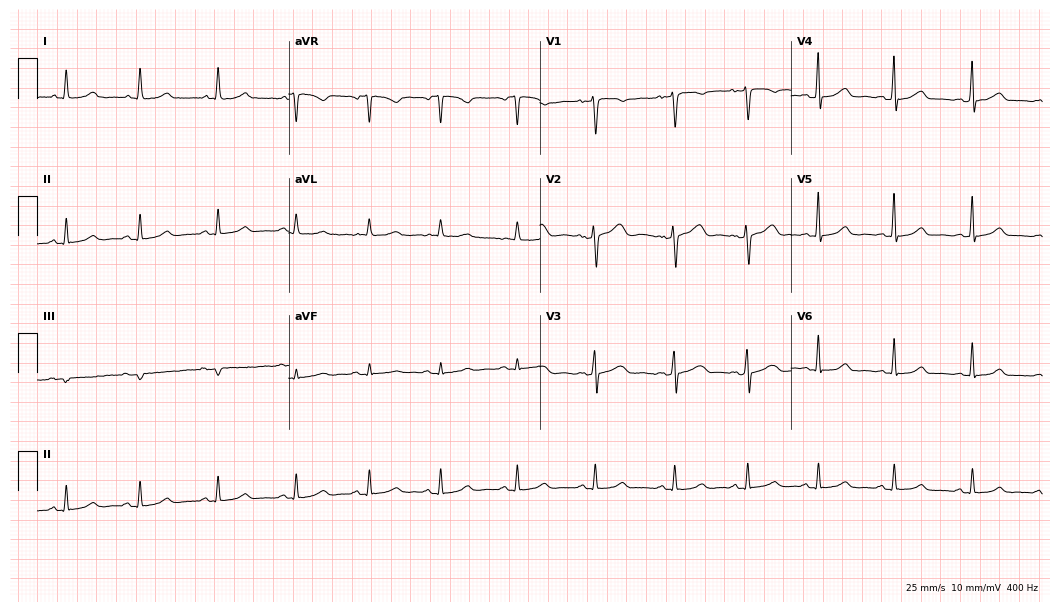
12-lead ECG (10.2-second recording at 400 Hz) from a 35-year-old woman. Screened for six findings — first-degree AV block, right bundle branch block, left bundle branch block, sinus bradycardia, atrial fibrillation, sinus tachycardia — none is recorded. Findings outside these six are not listed.